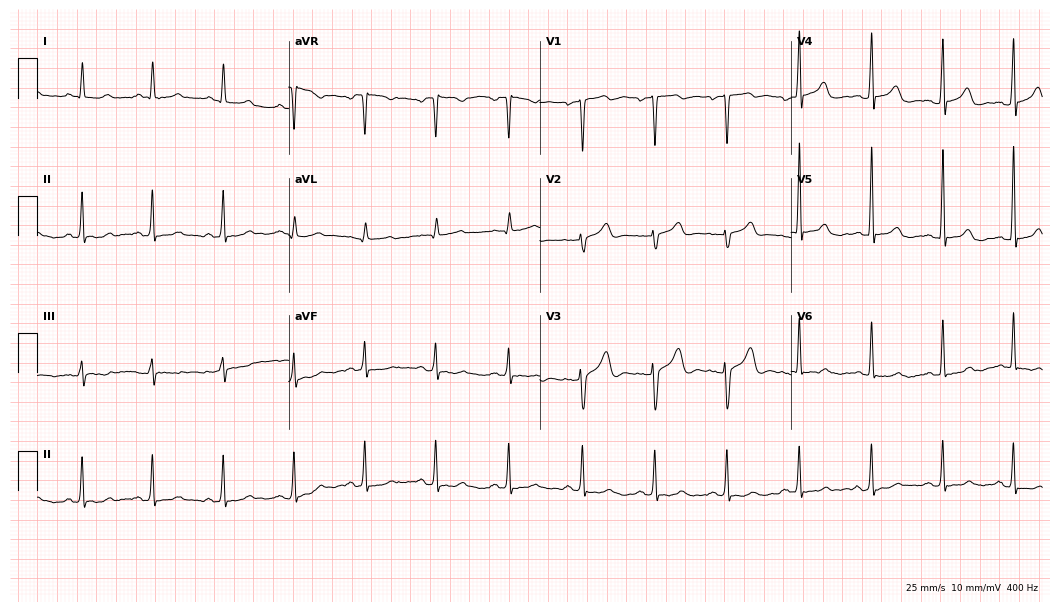
Resting 12-lead electrocardiogram (10.2-second recording at 400 Hz). Patient: a man, 42 years old. Read as a normal ECG.